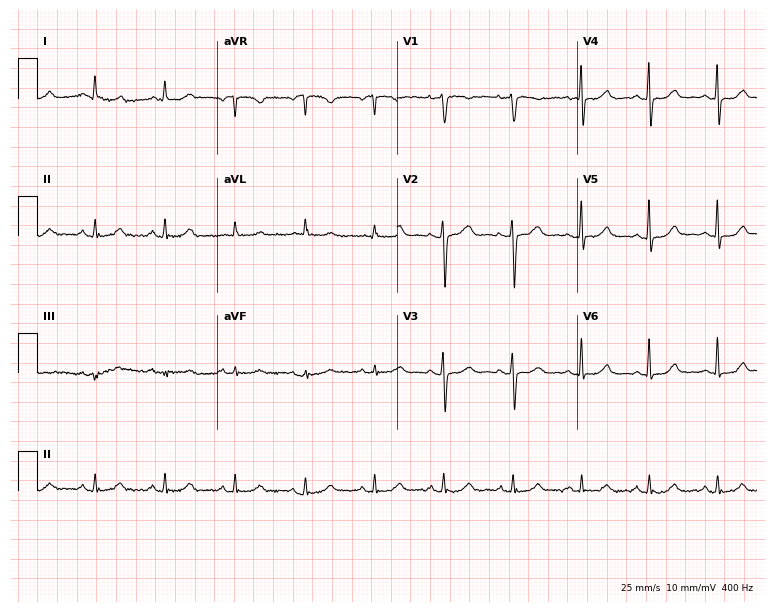
Resting 12-lead electrocardiogram (7.3-second recording at 400 Hz). Patient: a female, 73 years old. Read as a normal ECG.